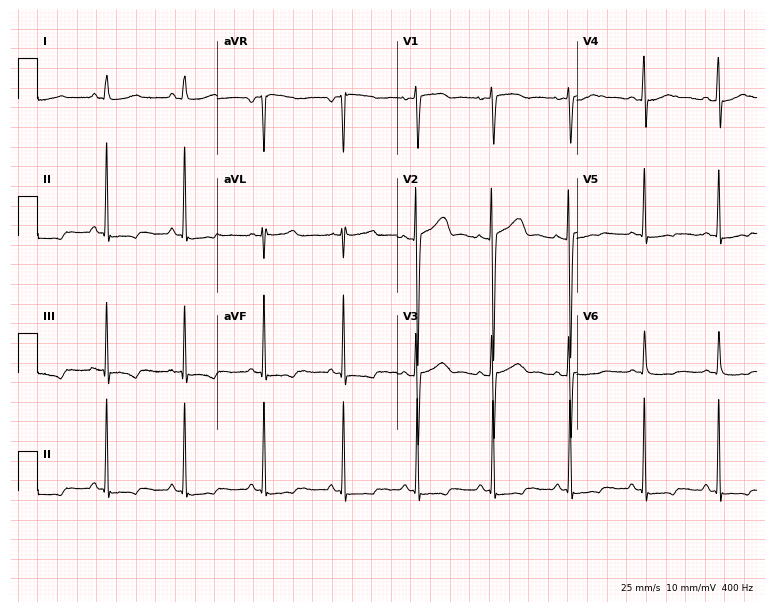
12-lead ECG from a woman, 23 years old (7.3-second recording at 400 Hz). No first-degree AV block, right bundle branch block (RBBB), left bundle branch block (LBBB), sinus bradycardia, atrial fibrillation (AF) or sinus tachycardia recorded for this tracing.